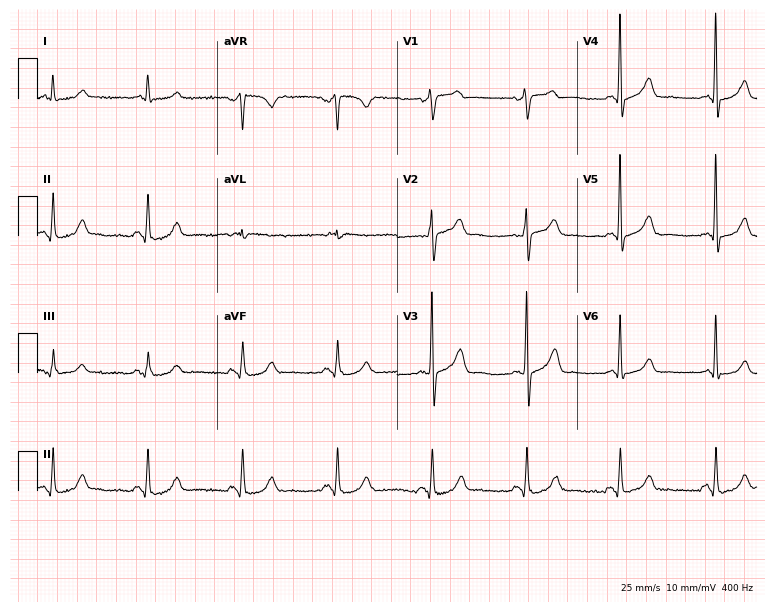
Electrocardiogram (7.3-second recording at 400 Hz), a 72-year-old man. Of the six screened findings (first-degree AV block, right bundle branch block, left bundle branch block, sinus bradycardia, atrial fibrillation, sinus tachycardia), none is recorded. Only these six findings were labelled.